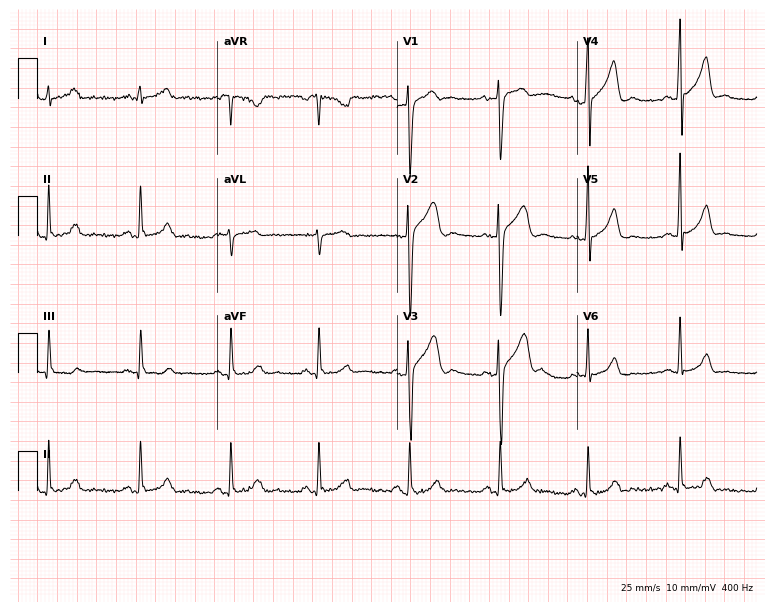
ECG (7.3-second recording at 400 Hz) — a male patient, 43 years old. Labelled as a normal ECG.